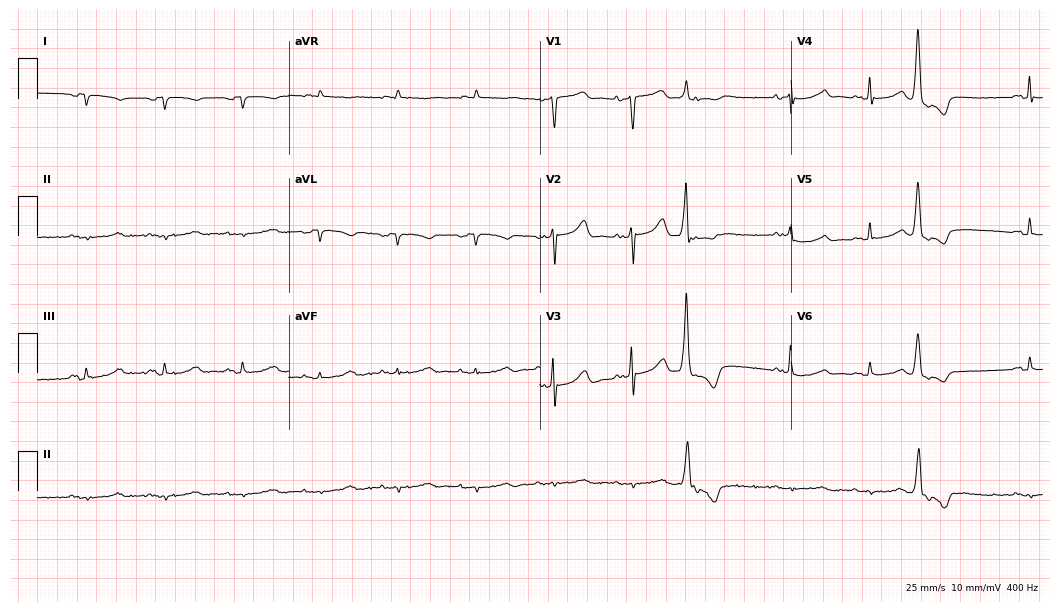
12-lead ECG from a female, 76 years old (10.2-second recording at 400 Hz). No first-degree AV block, right bundle branch block, left bundle branch block, sinus bradycardia, atrial fibrillation or sinus tachycardia recorded for this tracing.